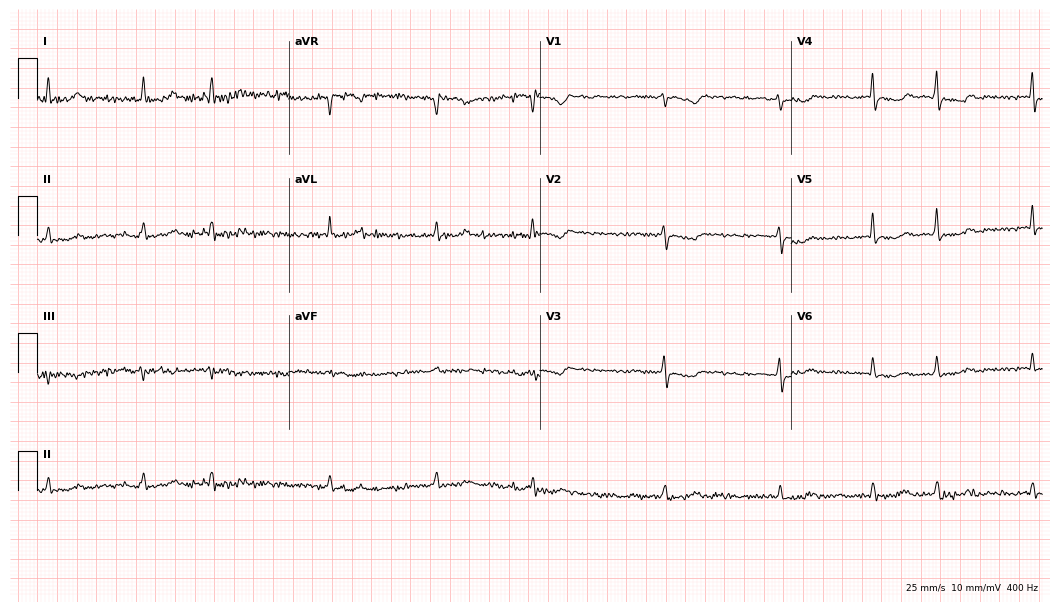
Electrocardiogram (10.2-second recording at 400 Hz), a 72-year-old woman. Of the six screened findings (first-degree AV block, right bundle branch block, left bundle branch block, sinus bradycardia, atrial fibrillation, sinus tachycardia), none is recorded. Findings outside these six are not listed.